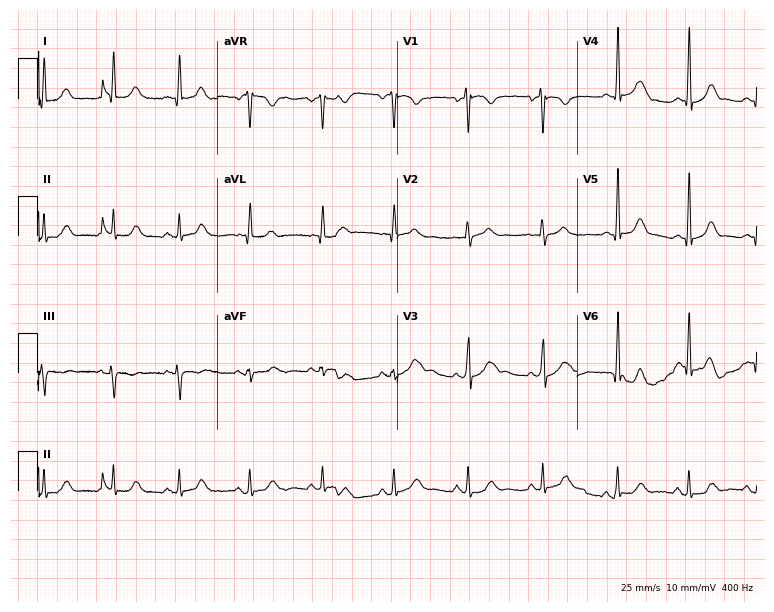
Electrocardiogram, a woman, 28 years old. Overall reading on record: normal ECG.